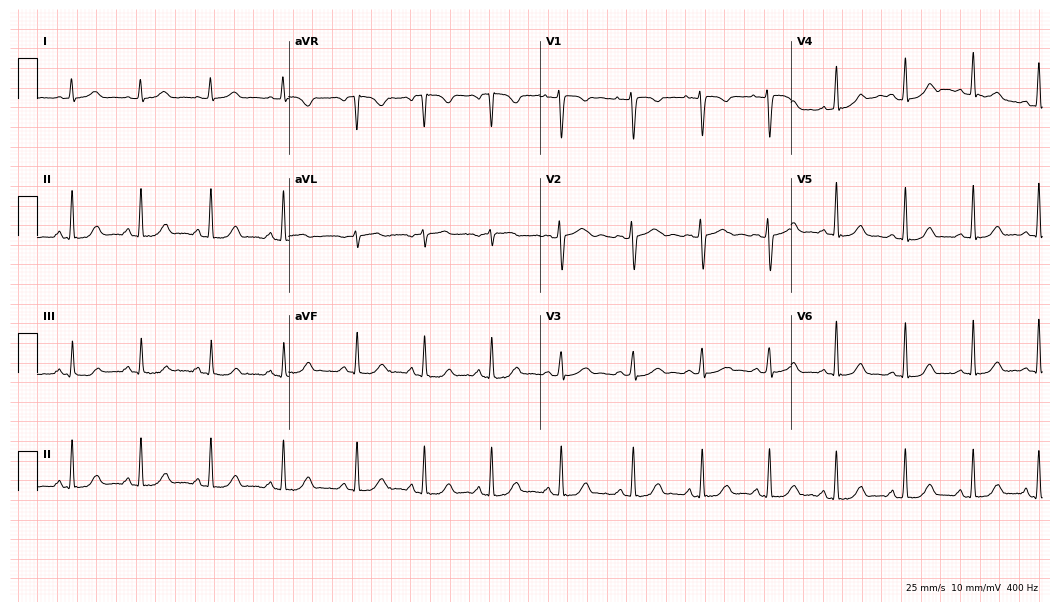
Electrocardiogram, a 22-year-old female. Of the six screened findings (first-degree AV block, right bundle branch block, left bundle branch block, sinus bradycardia, atrial fibrillation, sinus tachycardia), none is recorded. Findings outside these six are not listed.